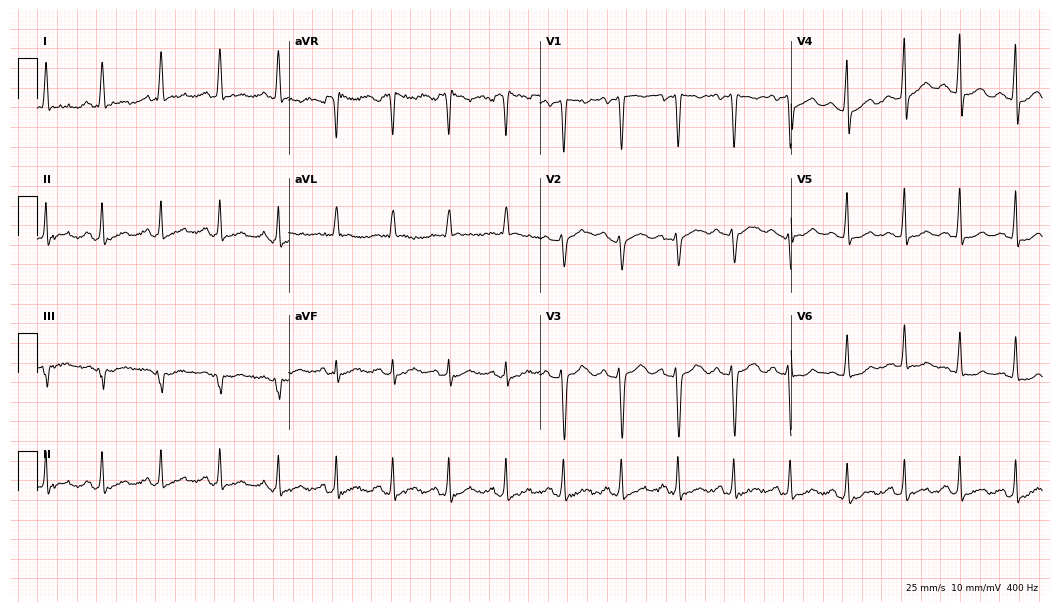
Electrocardiogram, a female patient, 24 years old. Interpretation includes sinus tachycardia (a sinus rate of 100 beats per minute or more).